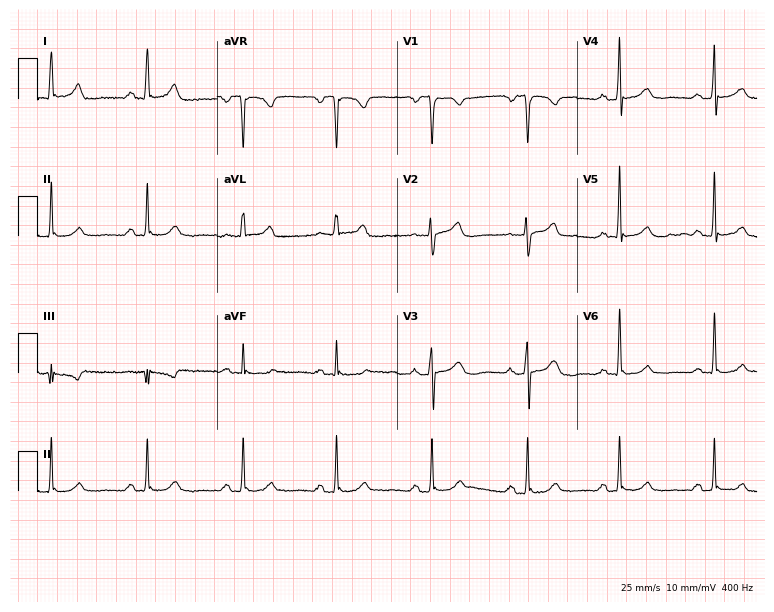
12-lead ECG from a 63-year-old female patient (7.3-second recording at 400 Hz). Recorded interpretation: within normal limits.